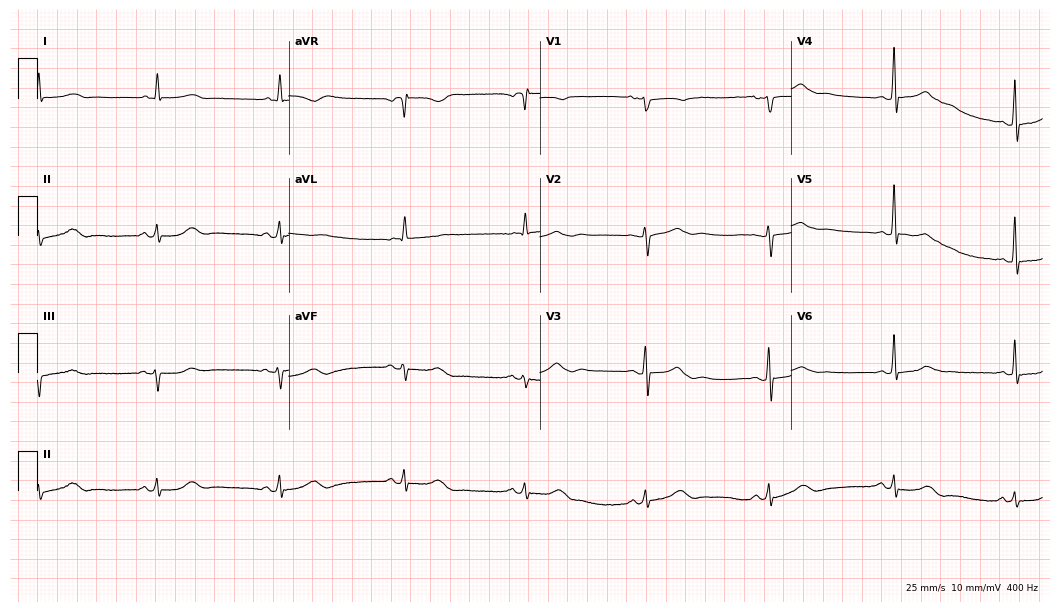
Standard 12-lead ECG recorded from a female patient, 76 years old. None of these six findings is recorded: first-degree AV block, right bundle branch block (RBBB), left bundle branch block (LBBB), sinus bradycardia, atrial fibrillation (AF), sinus tachycardia. Findings outside these six are not listed.